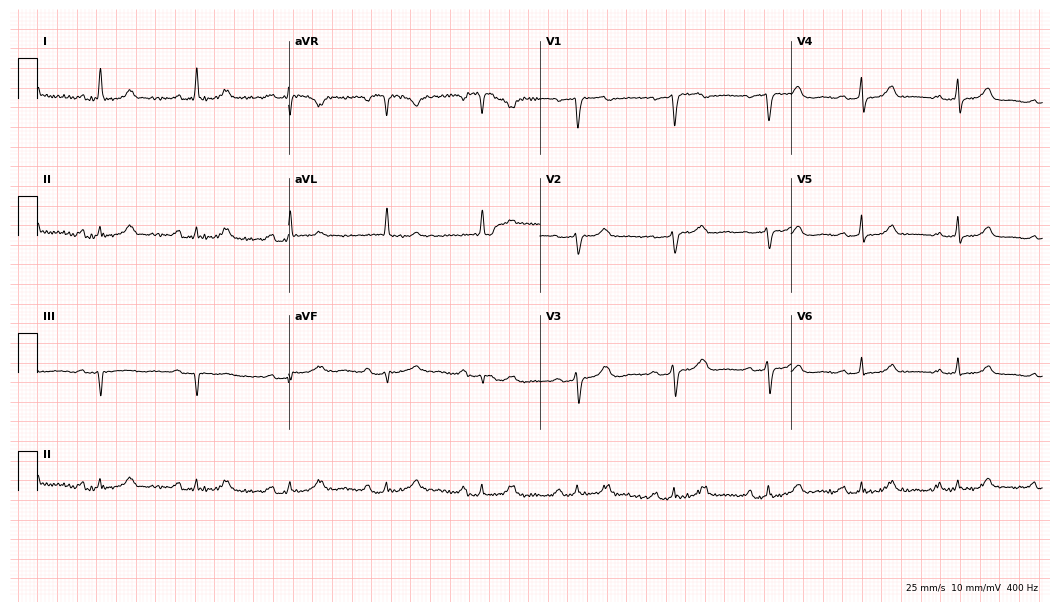
Electrocardiogram, an 80-year-old female patient. Overall reading on record: normal ECG.